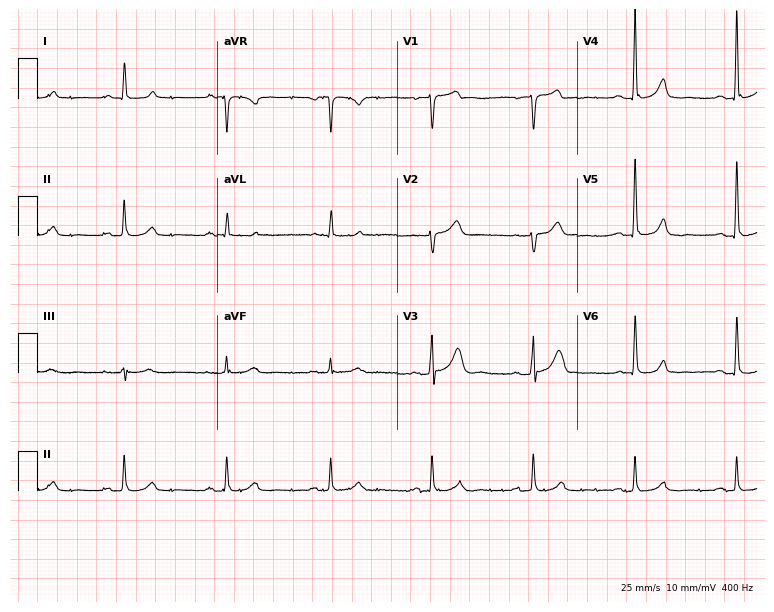
12-lead ECG from an 80-year-old male patient. Labelled as a normal ECG.